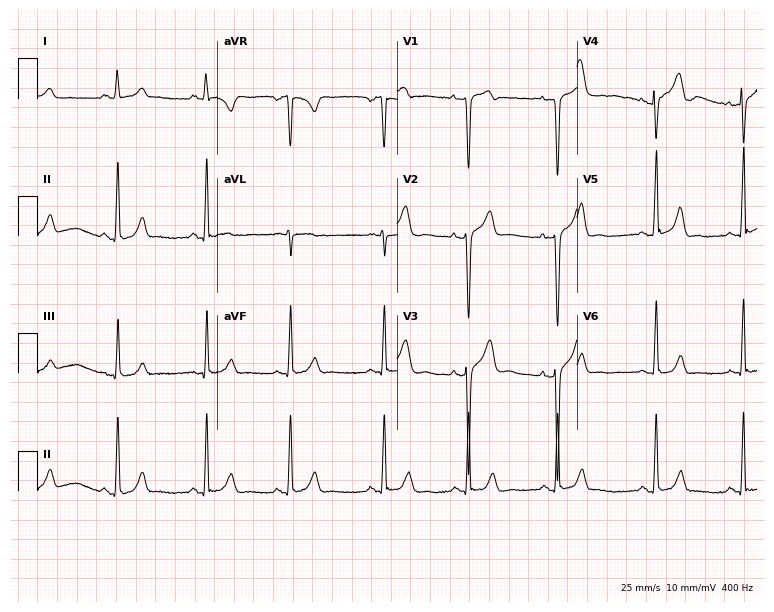
ECG (7.3-second recording at 400 Hz) — a female patient, 31 years old. Labelled as a normal ECG.